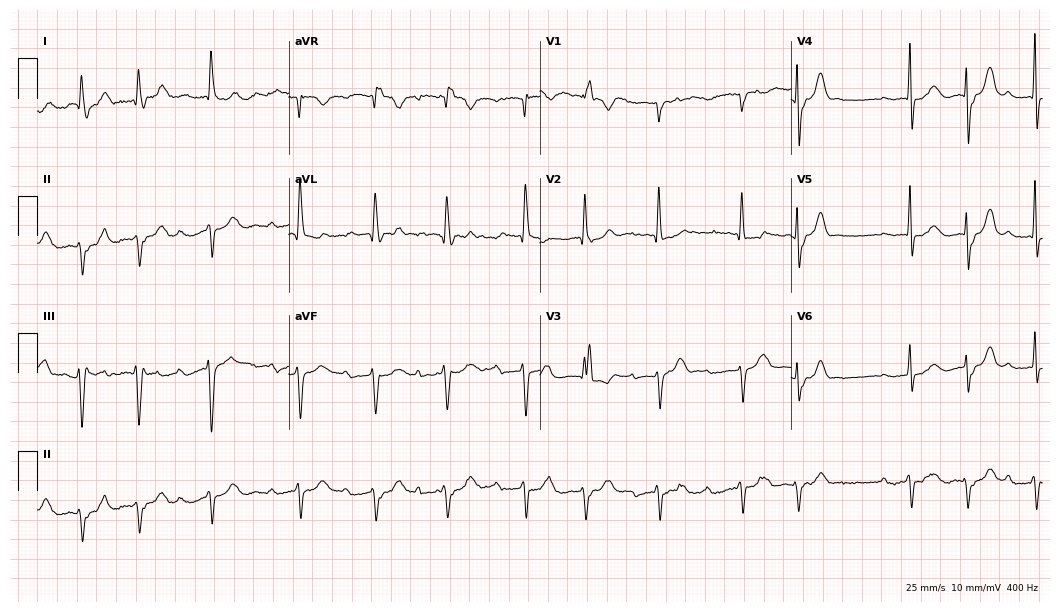
12-lead ECG from an 81-year-old female (10.2-second recording at 400 Hz). Shows first-degree AV block.